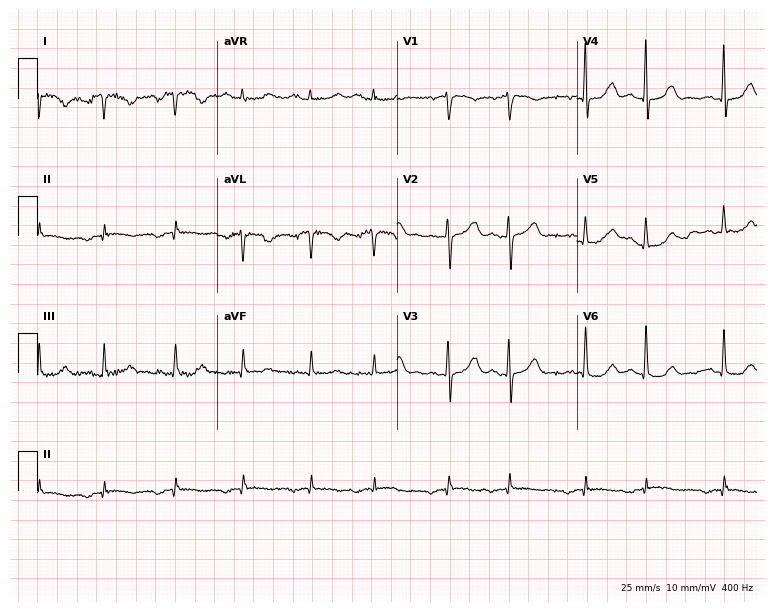
12-lead ECG (7.3-second recording at 400 Hz) from a 79-year-old man. Screened for six findings — first-degree AV block, right bundle branch block (RBBB), left bundle branch block (LBBB), sinus bradycardia, atrial fibrillation (AF), sinus tachycardia — none is recorded.